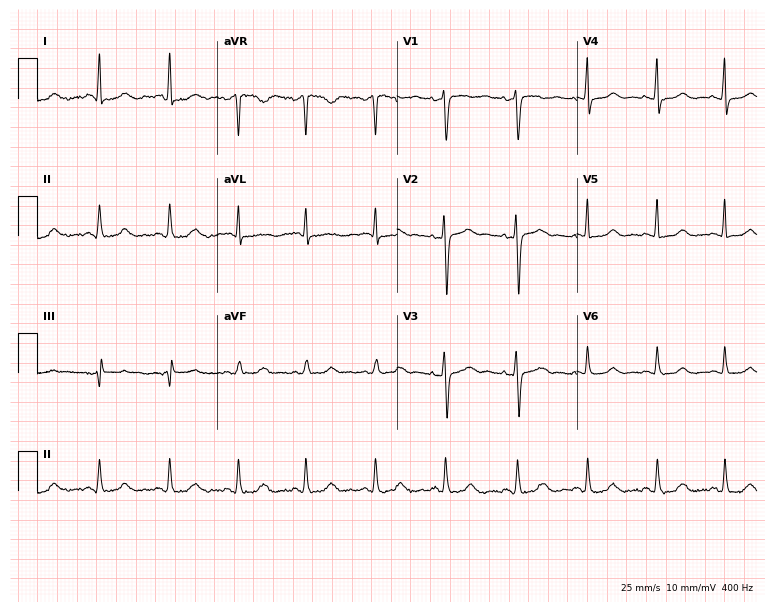
12-lead ECG from a 46-year-old female. Recorded interpretation: within normal limits.